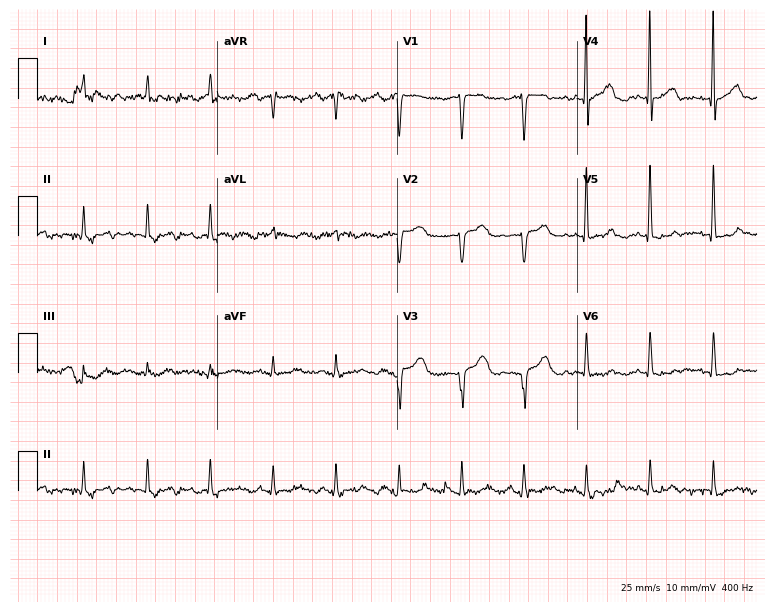
12-lead ECG from a female, 70 years old. Screened for six findings — first-degree AV block, right bundle branch block, left bundle branch block, sinus bradycardia, atrial fibrillation, sinus tachycardia — none is recorded.